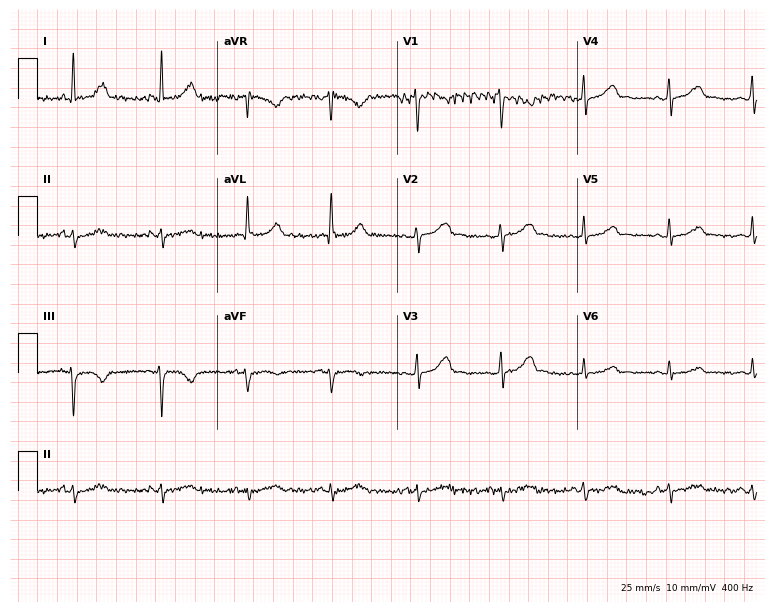
Resting 12-lead electrocardiogram. Patient: a 33-year-old female. None of these six findings is recorded: first-degree AV block, right bundle branch block (RBBB), left bundle branch block (LBBB), sinus bradycardia, atrial fibrillation (AF), sinus tachycardia. Other findings, if any, are not listed.